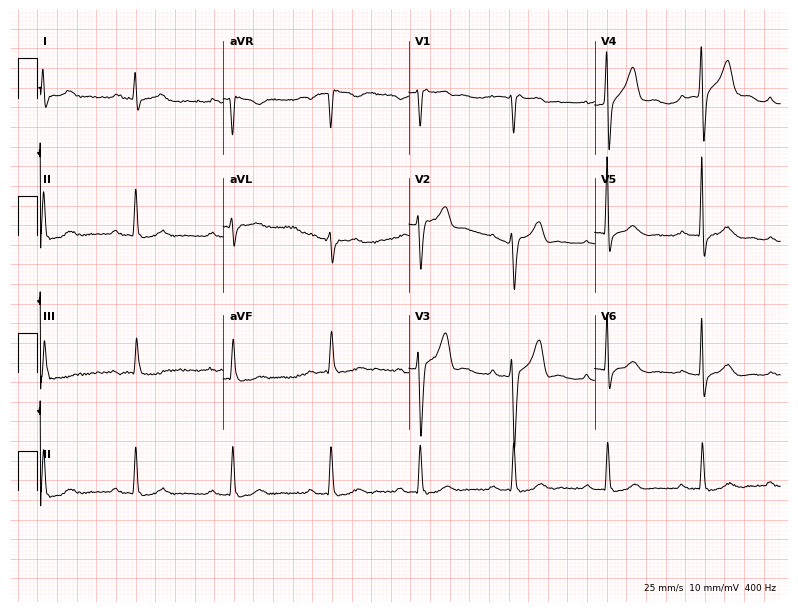
Standard 12-lead ECG recorded from a man, 71 years old (7.6-second recording at 400 Hz). None of these six findings is recorded: first-degree AV block, right bundle branch block (RBBB), left bundle branch block (LBBB), sinus bradycardia, atrial fibrillation (AF), sinus tachycardia.